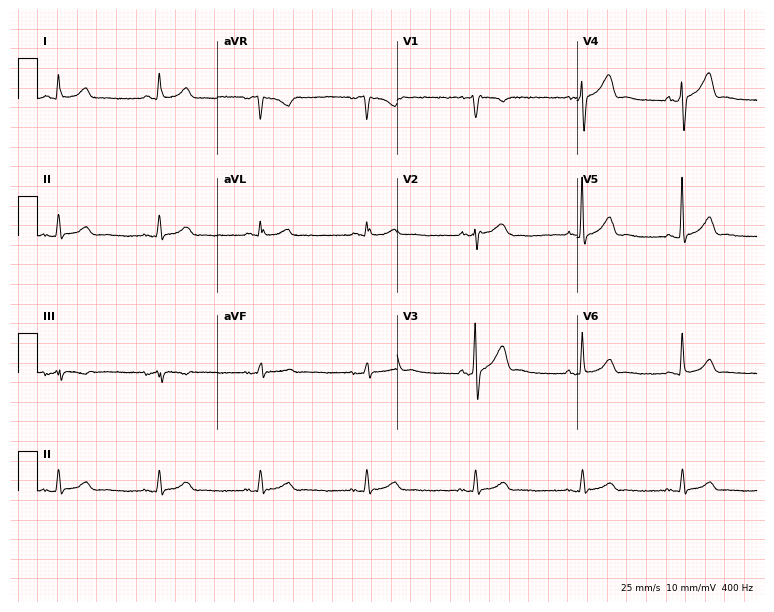
Electrocardiogram, a male, 57 years old. Of the six screened findings (first-degree AV block, right bundle branch block (RBBB), left bundle branch block (LBBB), sinus bradycardia, atrial fibrillation (AF), sinus tachycardia), none is recorded. Only these six findings were labelled.